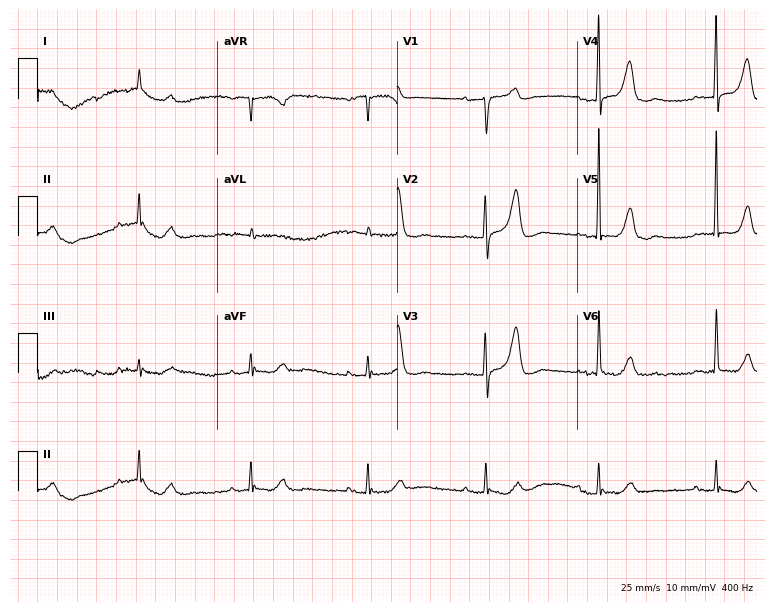
12-lead ECG from a male patient, 81 years old (7.3-second recording at 400 Hz). Shows first-degree AV block.